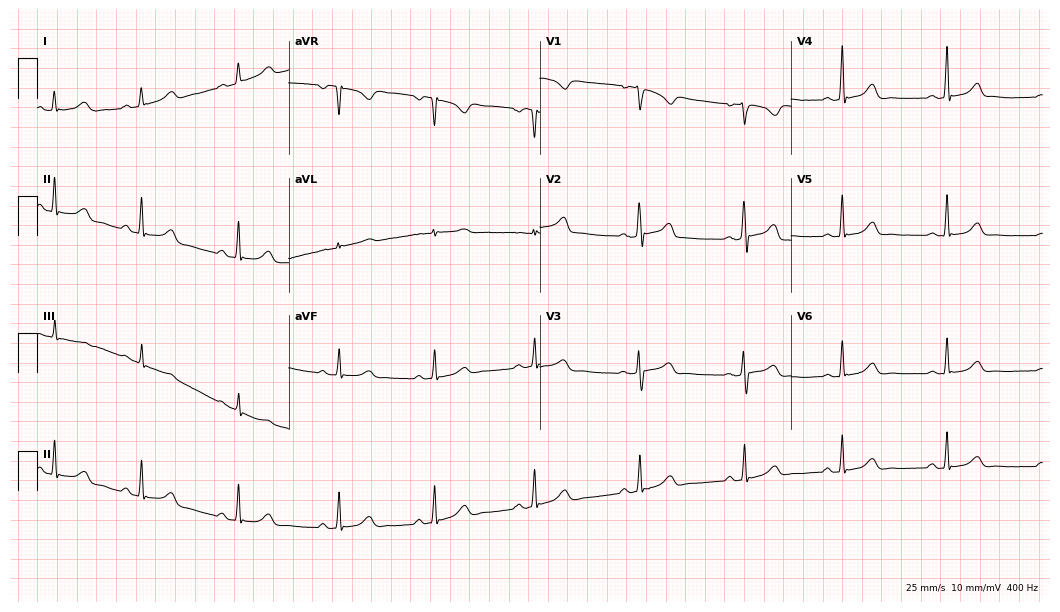
Standard 12-lead ECG recorded from a 27-year-old woman (10.2-second recording at 400 Hz). Read as a normal ECG.